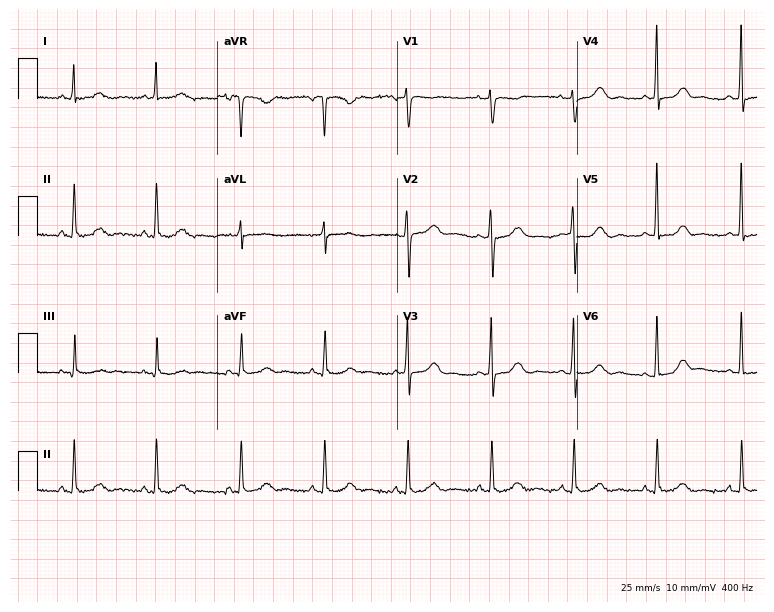
Electrocardiogram (7.3-second recording at 400 Hz), a 58-year-old female. Overall reading on record: normal ECG.